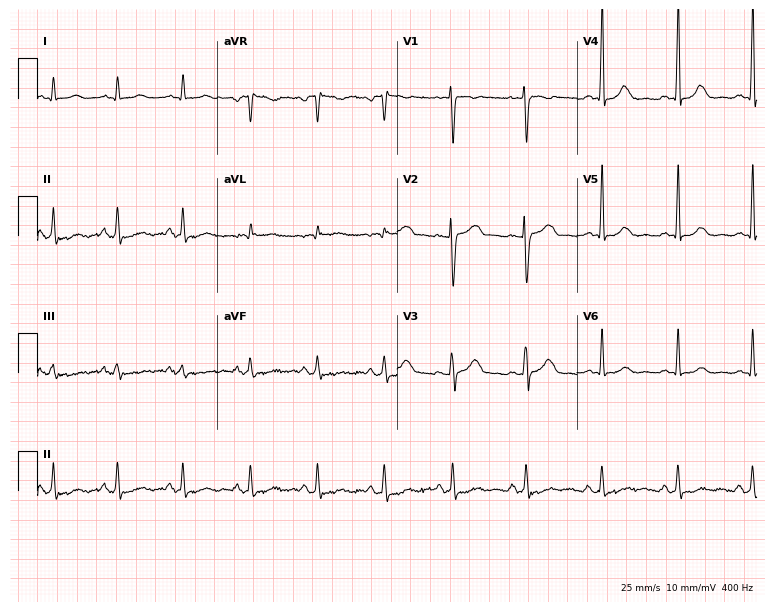
Electrocardiogram (7.3-second recording at 400 Hz), a 30-year-old woman. Of the six screened findings (first-degree AV block, right bundle branch block (RBBB), left bundle branch block (LBBB), sinus bradycardia, atrial fibrillation (AF), sinus tachycardia), none is recorded. Findings outside these six are not listed.